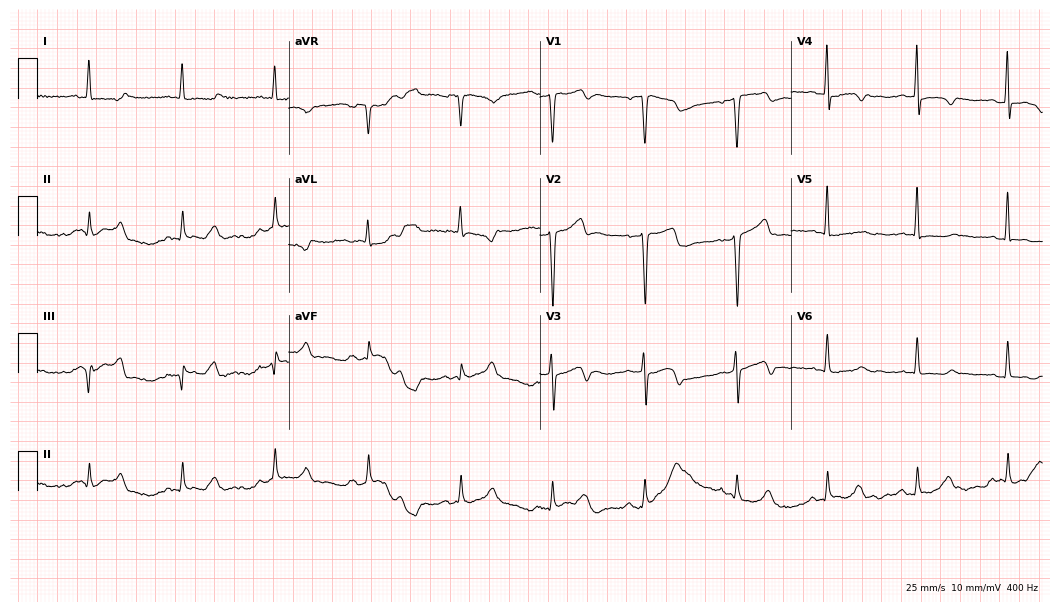
12-lead ECG from a 77-year-old woman. Screened for six findings — first-degree AV block, right bundle branch block (RBBB), left bundle branch block (LBBB), sinus bradycardia, atrial fibrillation (AF), sinus tachycardia — none is recorded. Findings outside these six are not listed.